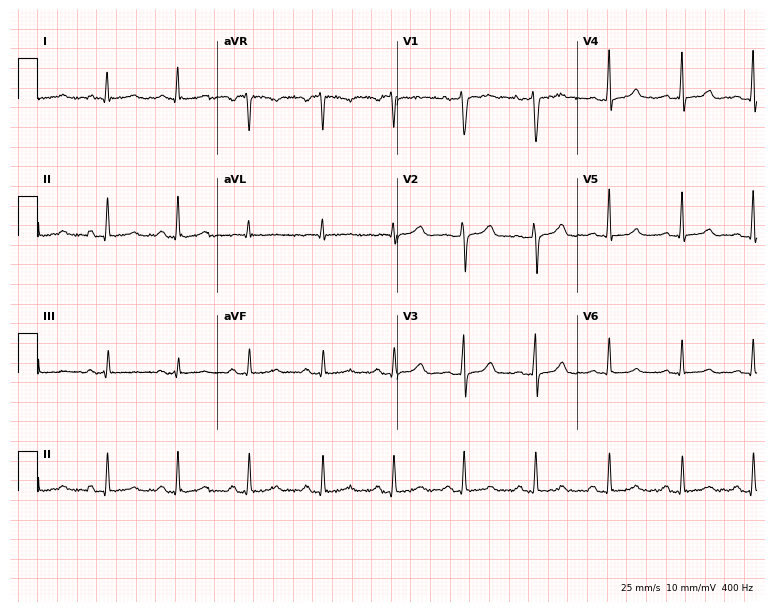
ECG — a female patient, 37 years old. Screened for six findings — first-degree AV block, right bundle branch block (RBBB), left bundle branch block (LBBB), sinus bradycardia, atrial fibrillation (AF), sinus tachycardia — none is recorded.